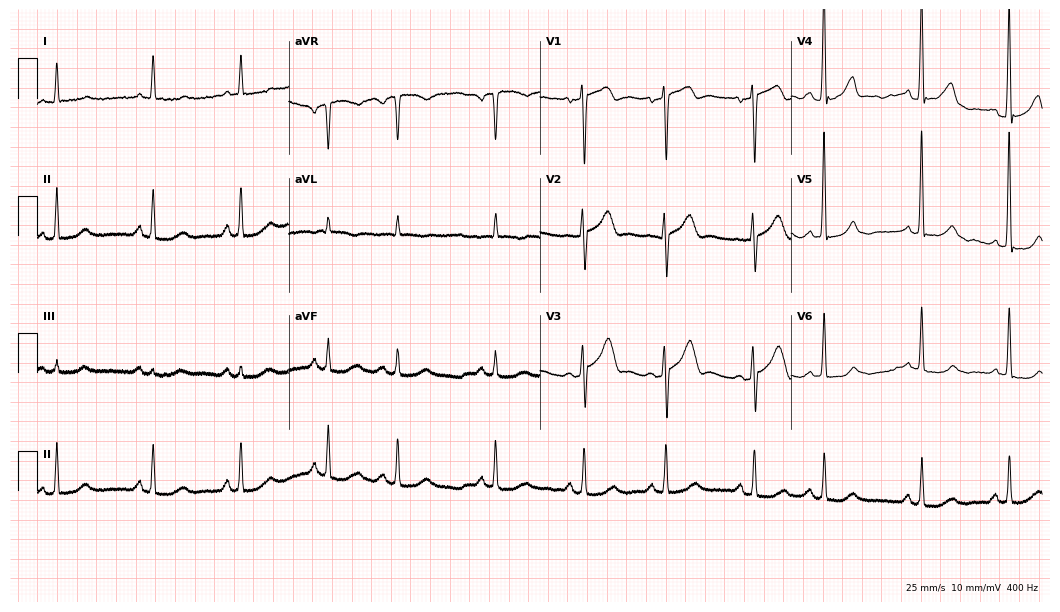
12-lead ECG from a male patient, 74 years old (10.2-second recording at 400 Hz). No first-degree AV block, right bundle branch block, left bundle branch block, sinus bradycardia, atrial fibrillation or sinus tachycardia recorded for this tracing.